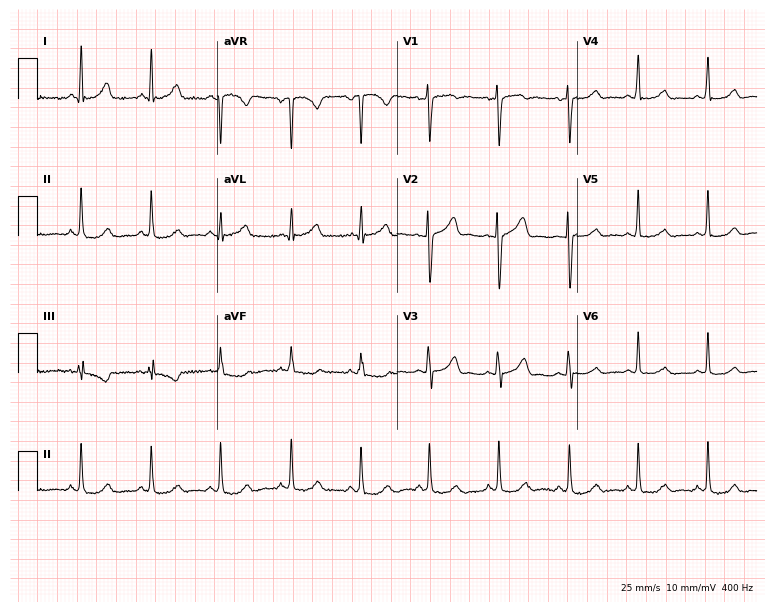
Standard 12-lead ECG recorded from a female patient, 42 years old (7.3-second recording at 400 Hz). None of these six findings is recorded: first-degree AV block, right bundle branch block (RBBB), left bundle branch block (LBBB), sinus bradycardia, atrial fibrillation (AF), sinus tachycardia. Only these six findings were labelled.